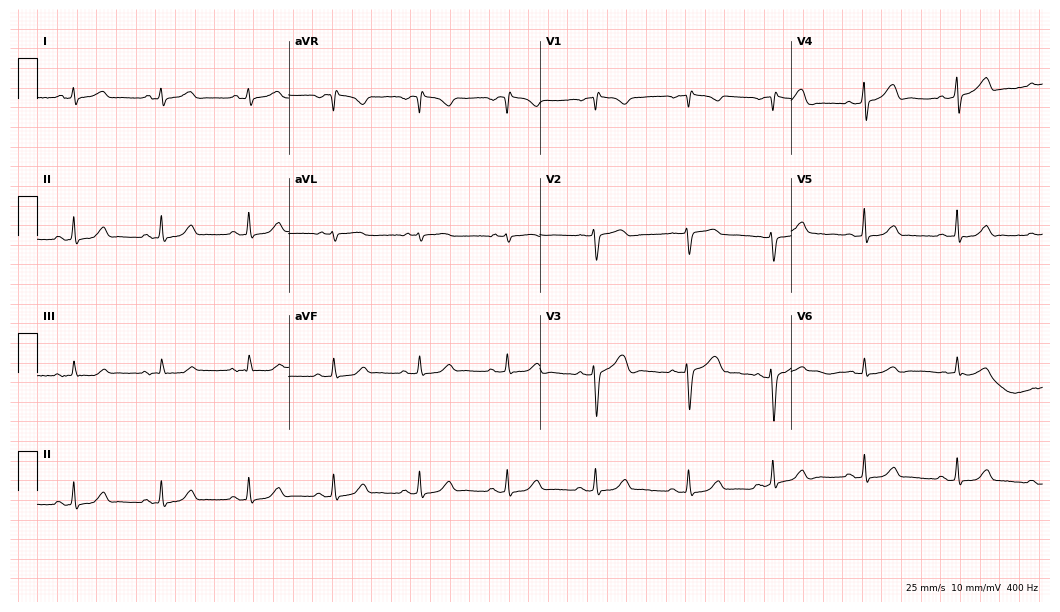
Electrocardiogram (10.2-second recording at 400 Hz), a female, 35 years old. Of the six screened findings (first-degree AV block, right bundle branch block, left bundle branch block, sinus bradycardia, atrial fibrillation, sinus tachycardia), none is recorded. Only these six findings were labelled.